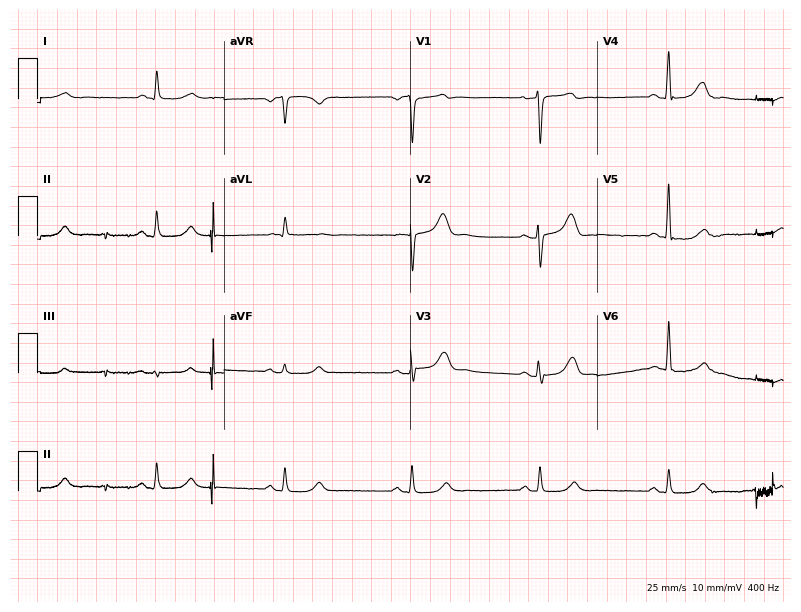
ECG (7.6-second recording at 400 Hz) — a 79-year-old male patient. Findings include sinus bradycardia (a sinus rate of 50 beats per minute or less).